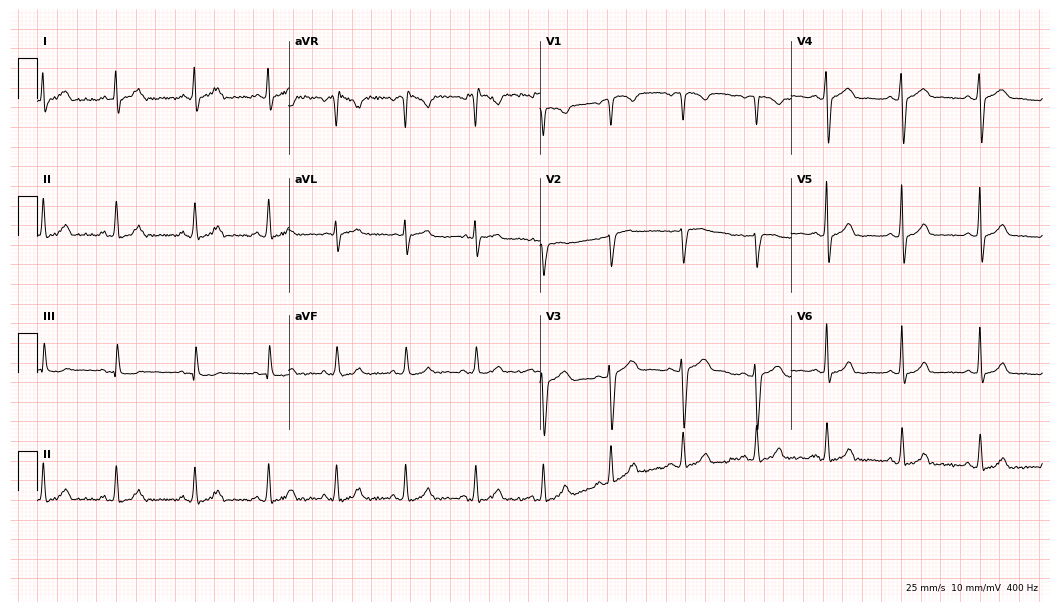
ECG — a 34-year-old female patient. Labelled as a normal ECG.